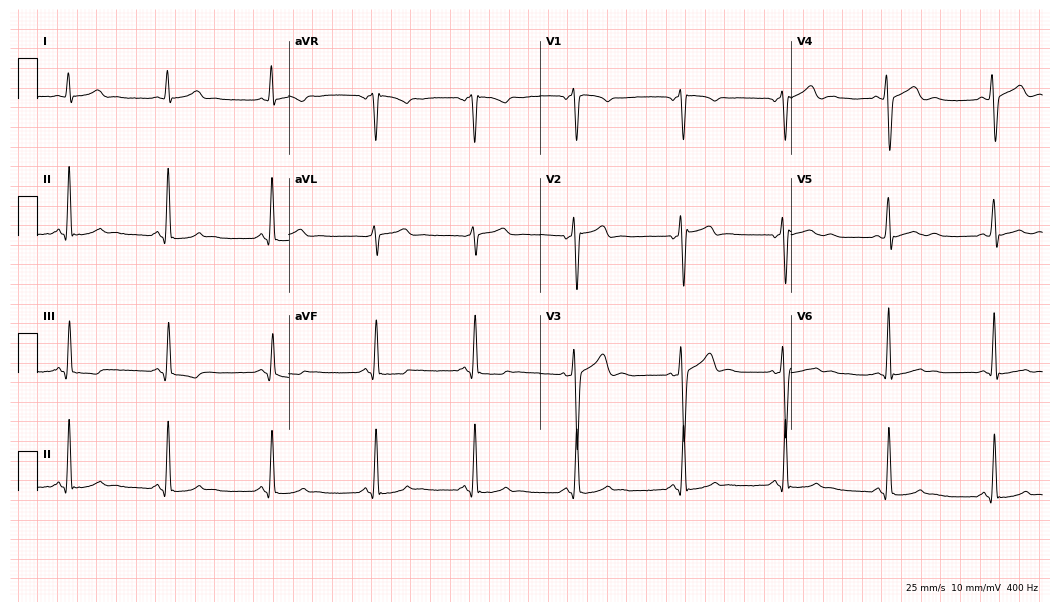
12-lead ECG from a 38-year-old man (10.2-second recording at 400 Hz). No first-degree AV block, right bundle branch block, left bundle branch block, sinus bradycardia, atrial fibrillation or sinus tachycardia recorded for this tracing. Other findings, if any, are not listed.